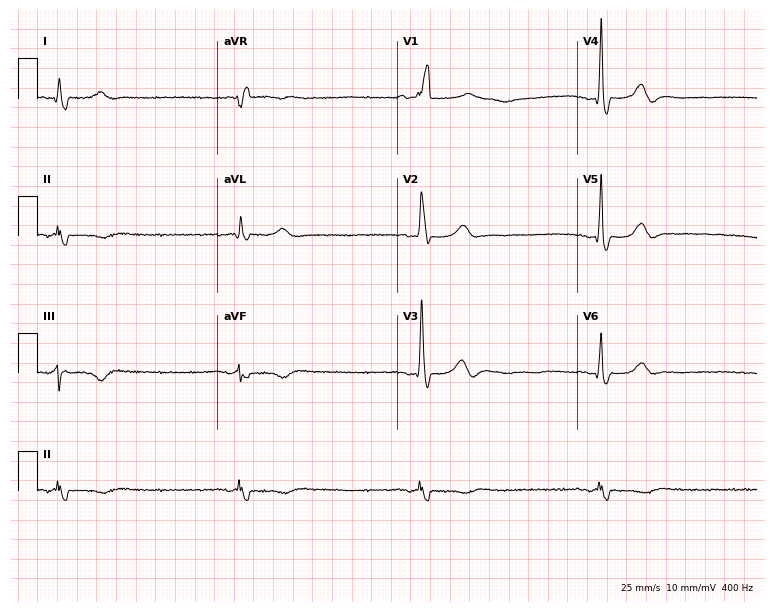
12-lead ECG from an 82-year-old male (7.3-second recording at 400 Hz). Shows right bundle branch block, sinus bradycardia (a sinus rate of 50 beats per minute or less).